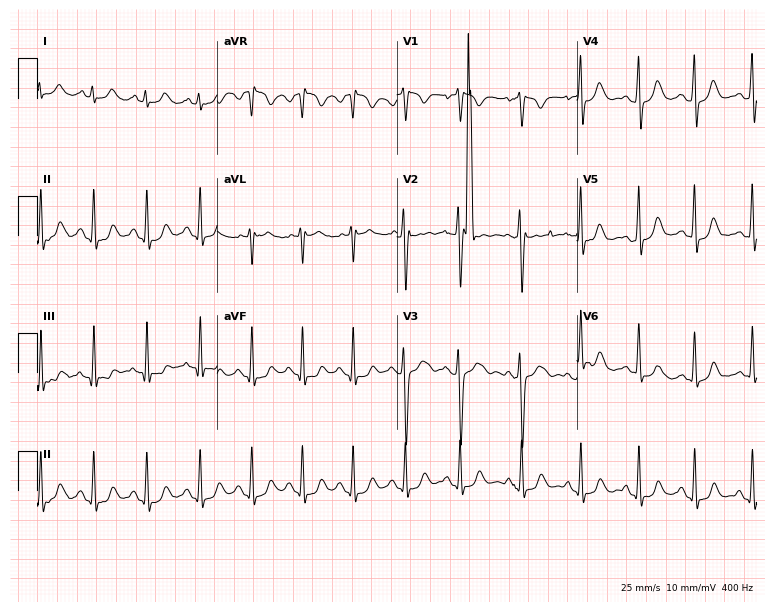
12-lead ECG from a 19-year-old female (7.3-second recording at 400 Hz). No first-degree AV block, right bundle branch block, left bundle branch block, sinus bradycardia, atrial fibrillation or sinus tachycardia recorded for this tracing. Only these six findings were labelled.